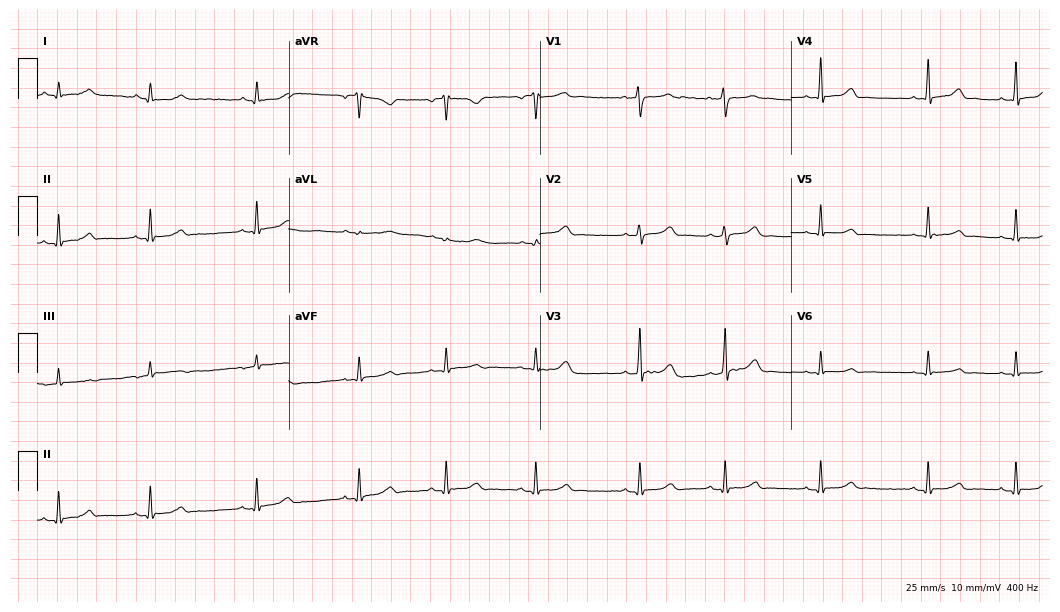
Standard 12-lead ECG recorded from a female patient, 21 years old (10.2-second recording at 400 Hz). Read as a normal ECG.